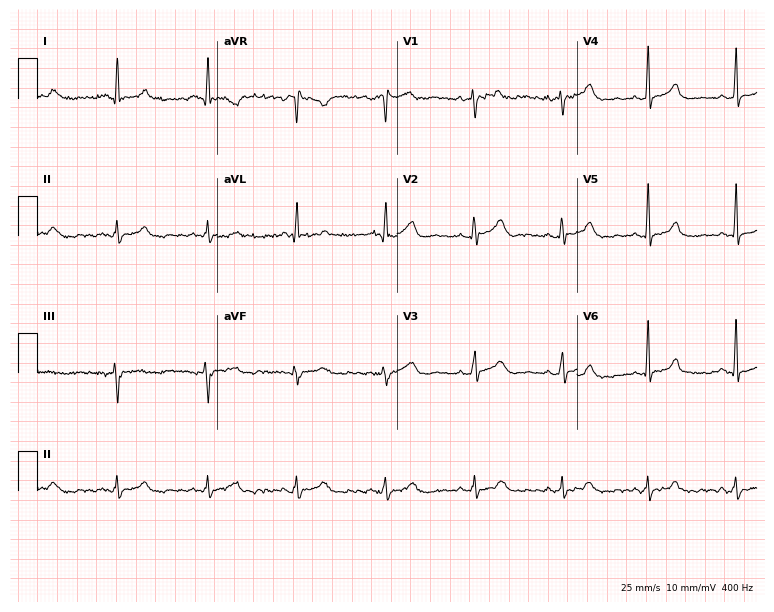
ECG — a 45-year-old female. Labelled as a normal ECG.